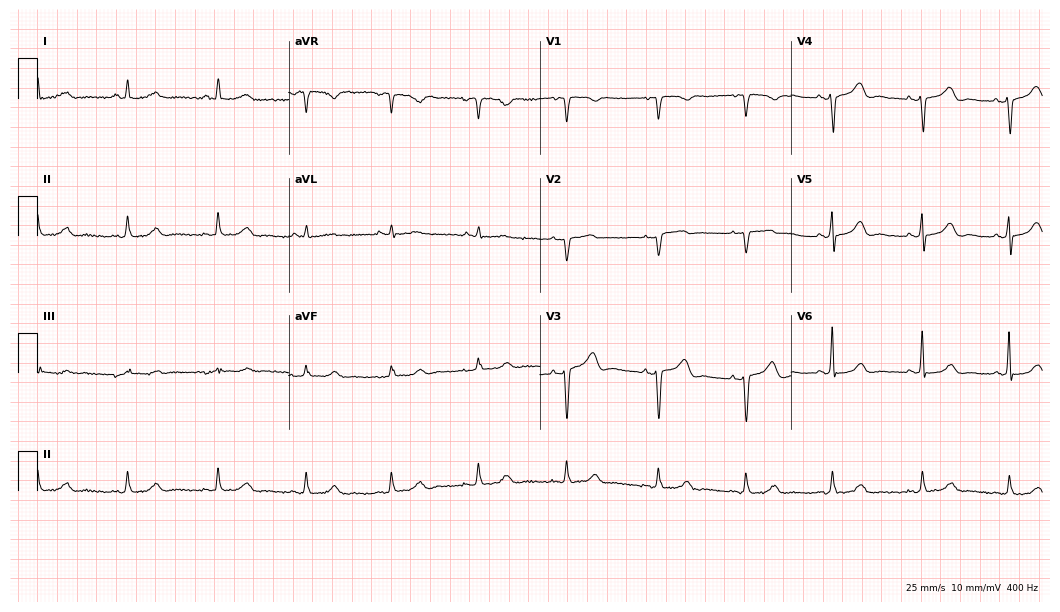
12-lead ECG from a woman, 61 years old. Labelled as a normal ECG.